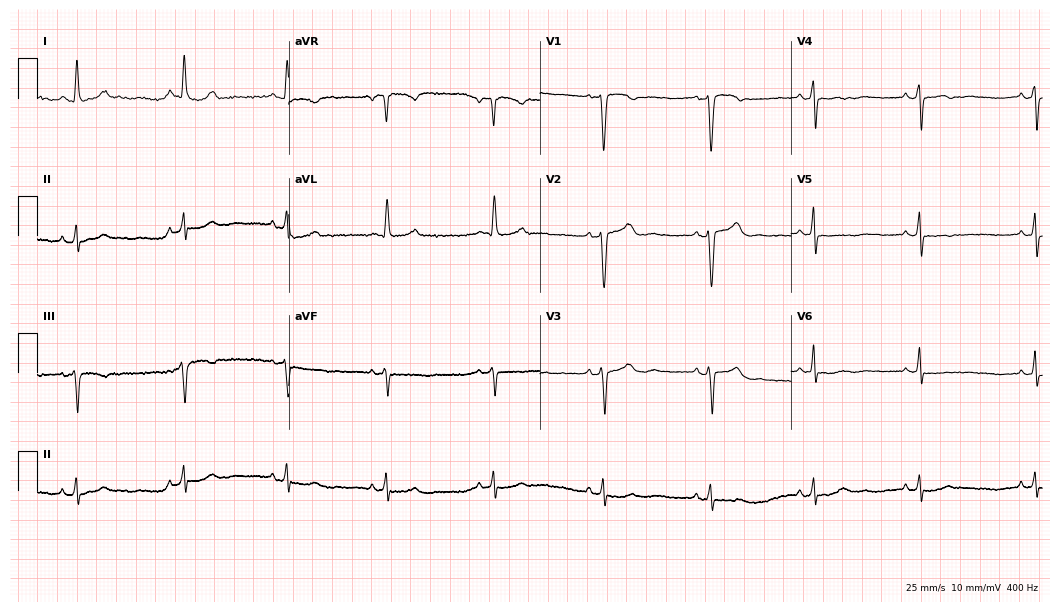
Resting 12-lead electrocardiogram (10.2-second recording at 400 Hz). Patient: a female, 52 years old. None of these six findings is recorded: first-degree AV block, right bundle branch block, left bundle branch block, sinus bradycardia, atrial fibrillation, sinus tachycardia.